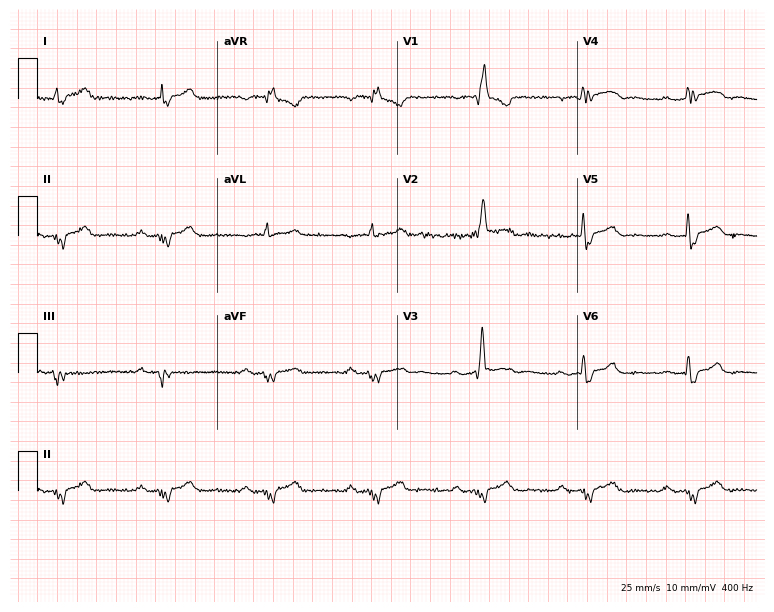
12-lead ECG (7.3-second recording at 400 Hz) from a 44-year-old man. Findings include right bundle branch block (RBBB).